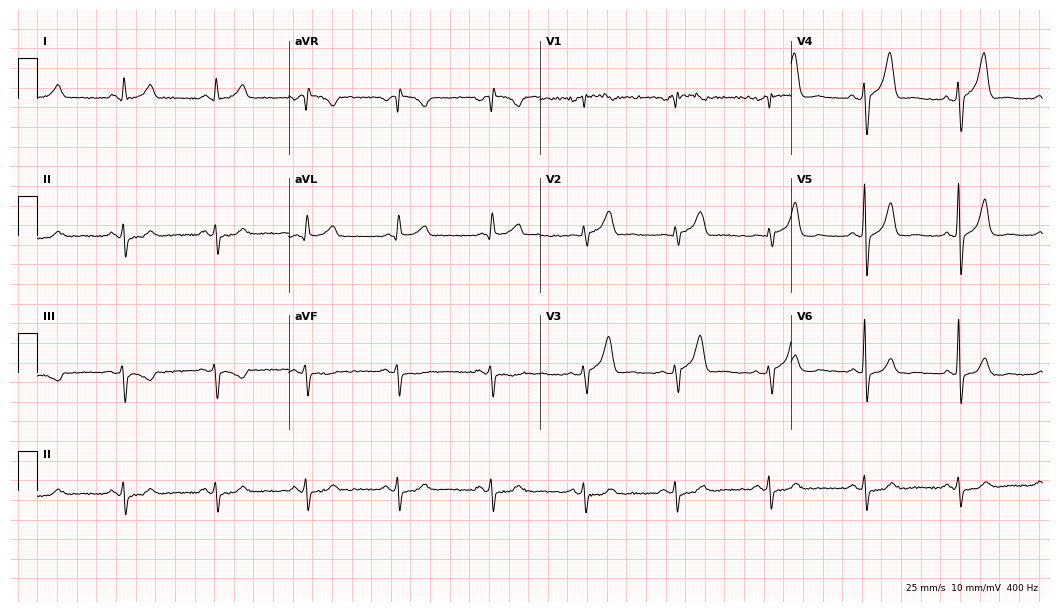
Electrocardiogram (10.2-second recording at 400 Hz), a male patient, 56 years old. Of the six screened findings (first-degree AV block, right bundle branch block (RBBB), left bundle branch block (LBBB), sinus bradycardia, atrial fibrillation (AF), sinus tachycardia), none is recorded. Only these six findings were labelled.